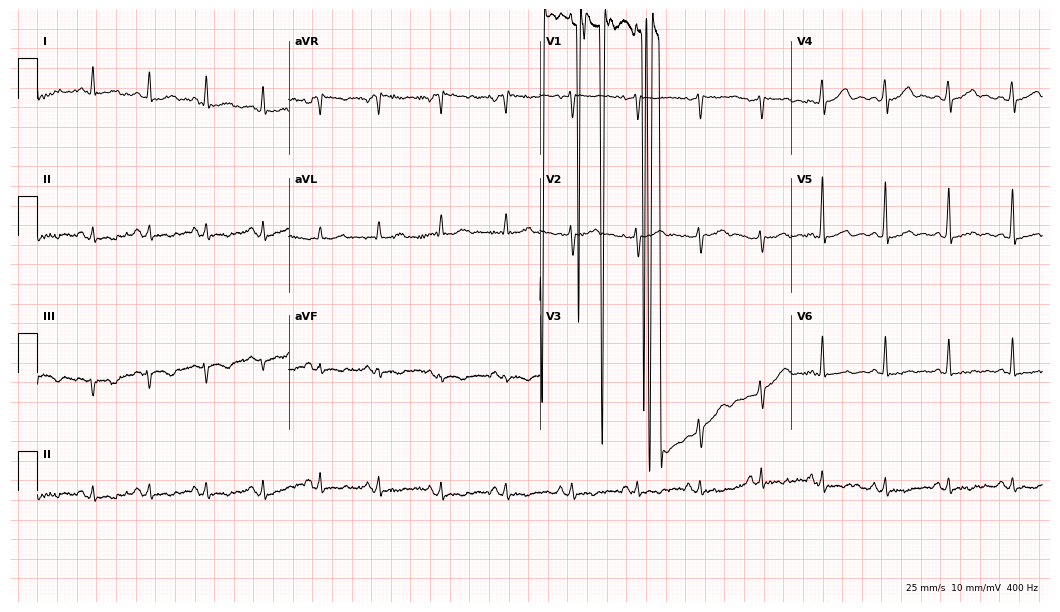
12-lead ECG from a 48-year-old woman (10.2-second recording at 400 Hz). No first-degree AV block, right bundle branch block, left bundle branch block, sinus bradycardia, atrial fibrillation or sinus tachycardia recorded for this tracing. Other findings, if any, are not listed.